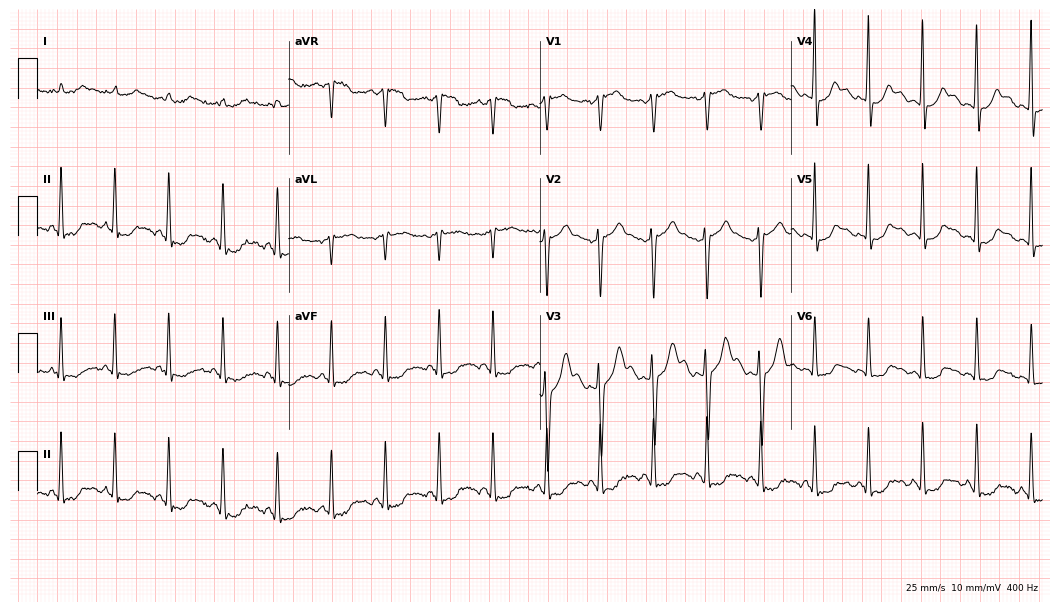
Standard 12-lead ECG recorded from a female, 42 years old. The tracing shows sinus tachycardia (a sinus rate of 100 beats per minute or more).